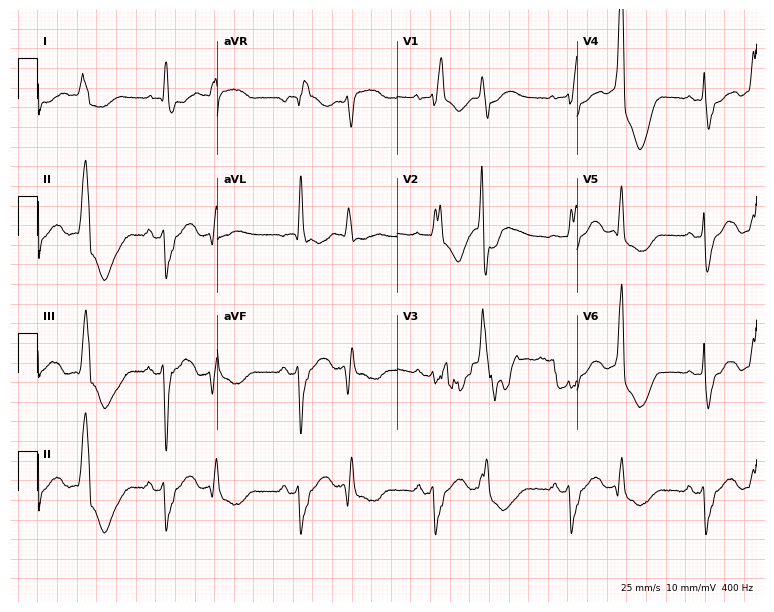
Electrocardiogram (7.3-second recording at 400 Hz), a 62-year-old woman. Of the six screened findings (first-degree AV block, right bundle branch block, left bundle branch block, sinus bradycardia, atrial fibrillation, sinus tachycardia), none is recorded.